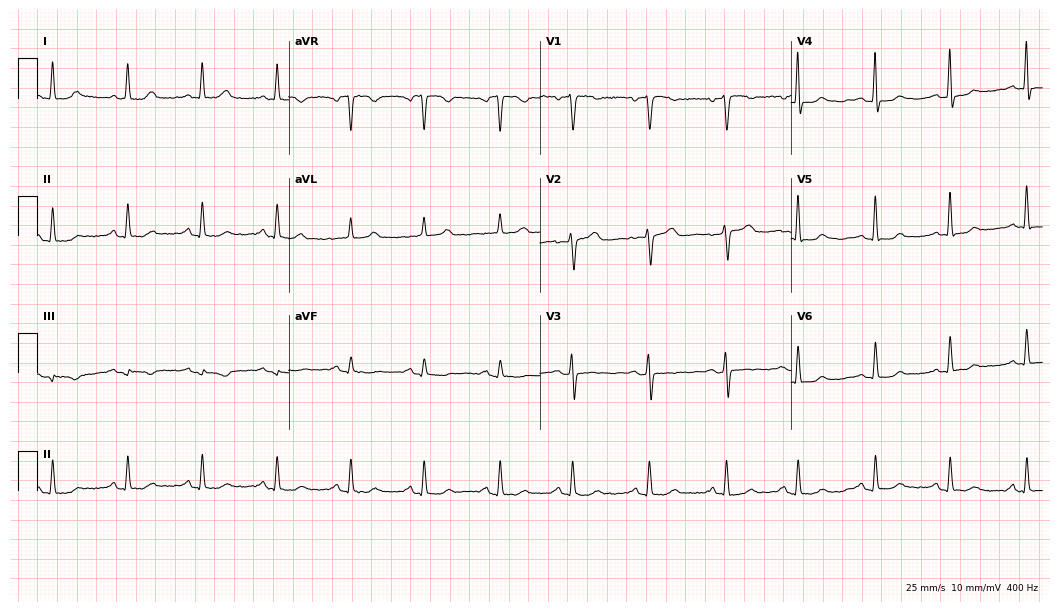
Standard 12-lead ECG recorded from a 65-year-old female patient. None of these six findings is recorded: first-degree AV block, right bundle branch block, left bundle branch block, sinus bradycardia, atrial fibrillation, sinus tachycardia.